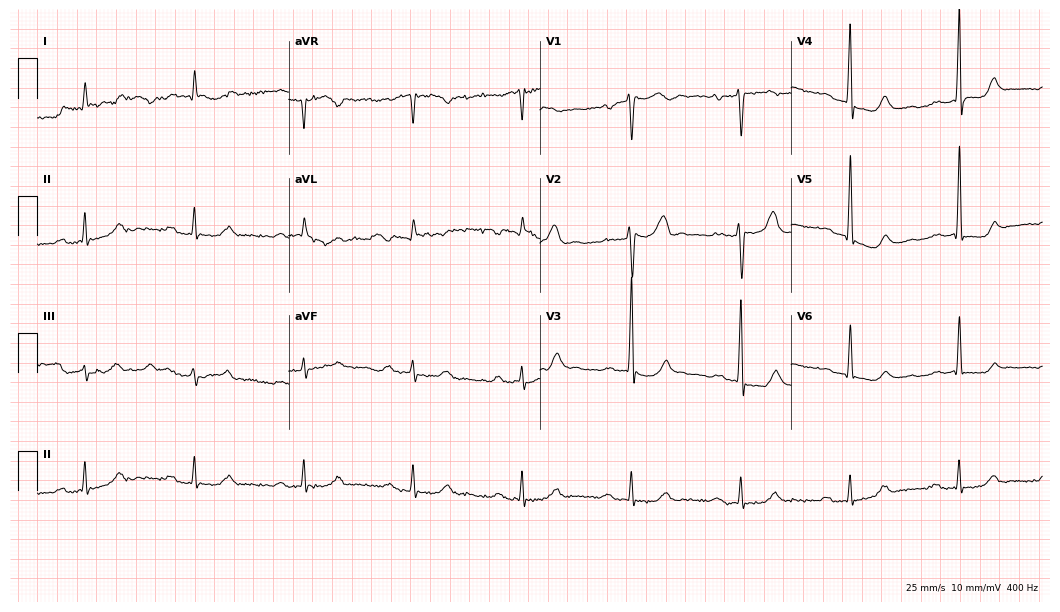
Resting 12-lead electrocardiogram. Patient: a 77-year-old male. The tracing shows first-degree AV block.